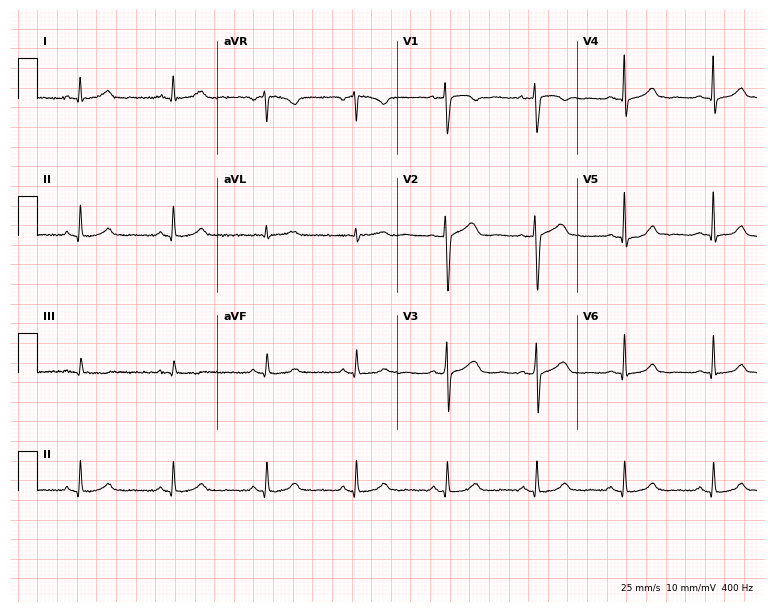
12-lead ECG from a woman, 55 years old (7.3-second recording at 400 Hz). Recorded interpretation: within normal limits.